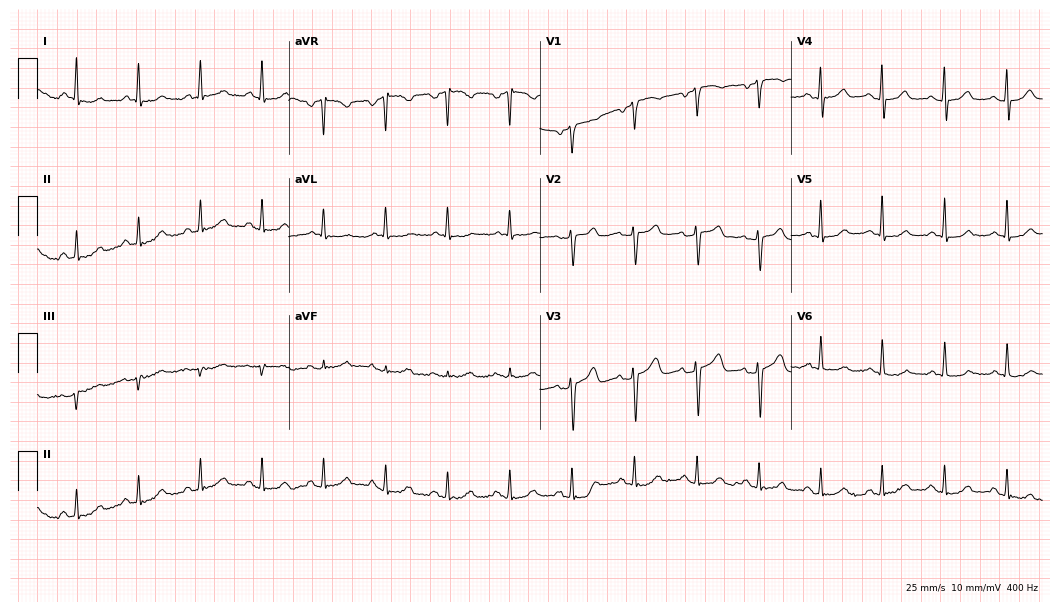
ECG — a female, 65 years old. Labelled as a normal ECG.